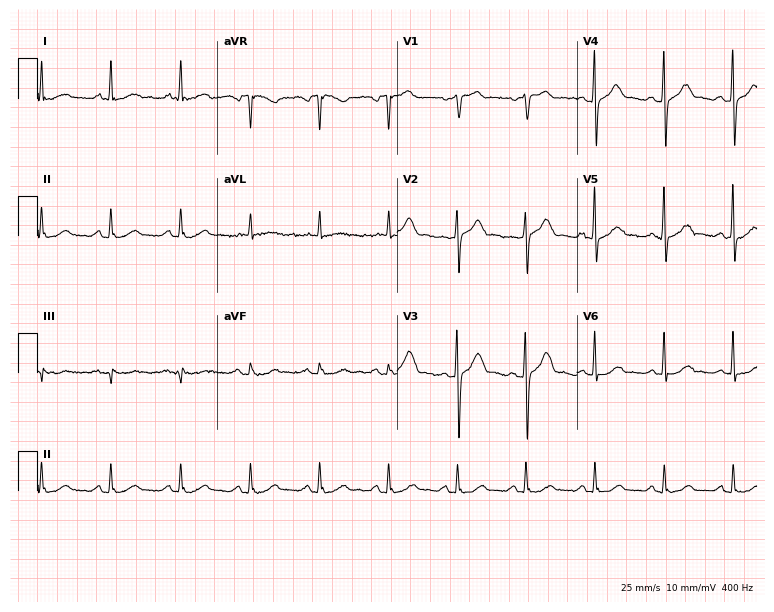
12-lead ECG from a male patient, 67 years old. No first-degree AV block, right bundle branch block, left bundle branch block, sinus bradycardia, atrial fibrillation or sinus tachycardia recorded for this tracing.